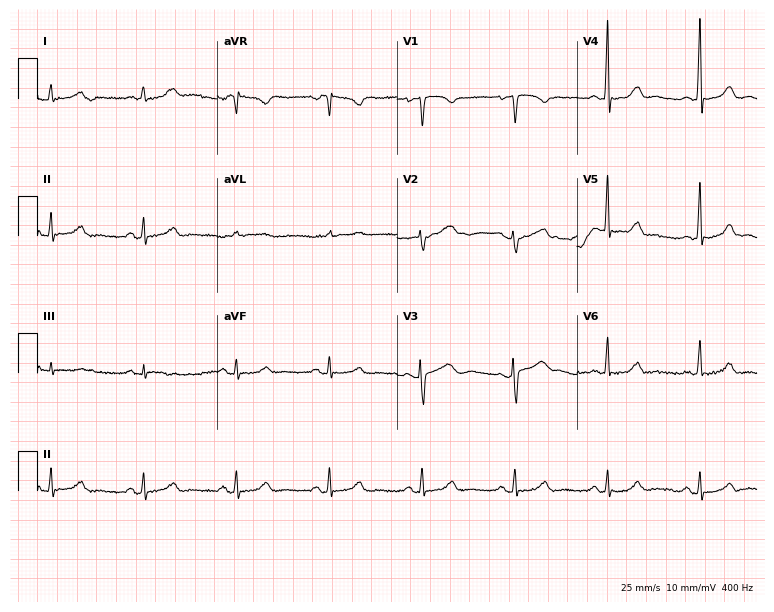
Electrocardiogram (7.3-second recording at 400 Hz), a 57-year-old woman. Overall reading on record: normal ECG.